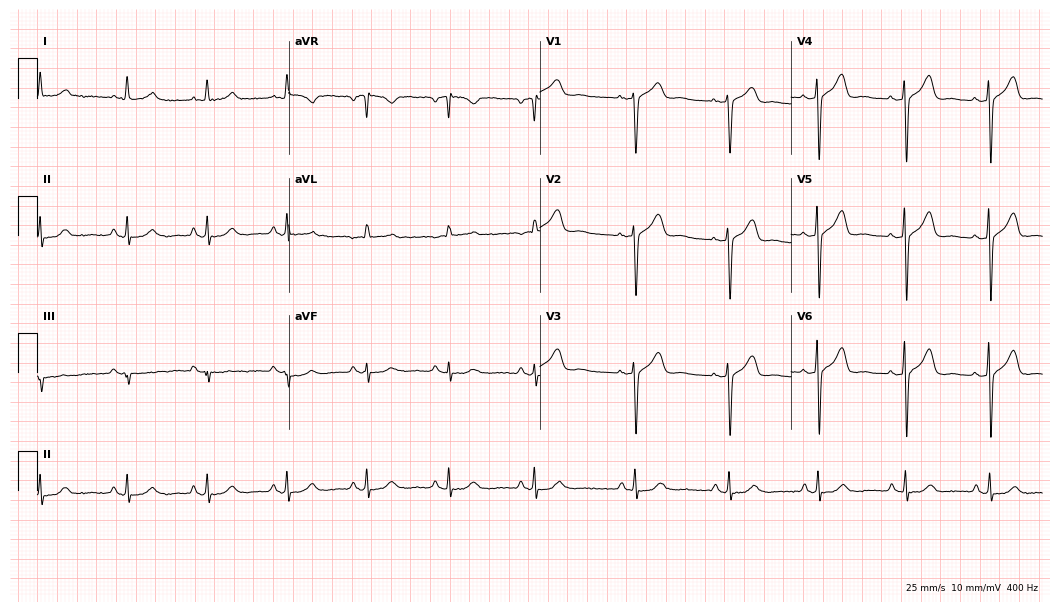
Electrocardiogram (10.2-second recording at 400 Hz), a 61-year-old male. Of the six screened findings (first-degree AV block, right bundle branch block, left bundle branch block, sinus bradycardia, atrial fibrillation, sinus tachycardia), none is recorded. Other findings, if any, are not listed.